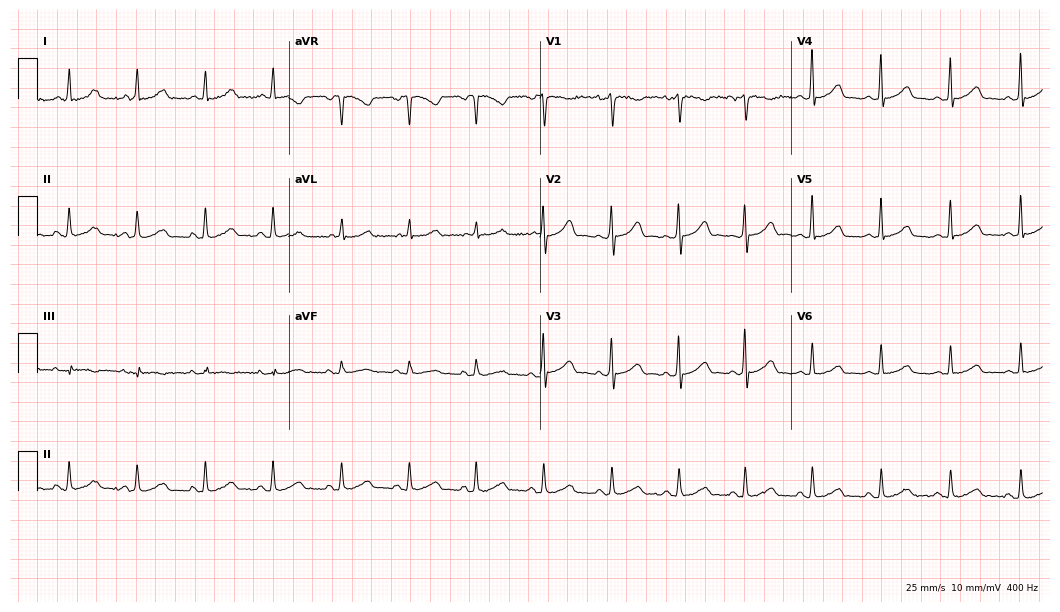
ECG (10.2-second recording at 400 Hz) — a female, 25 years old. Labelled as a normal ECG.